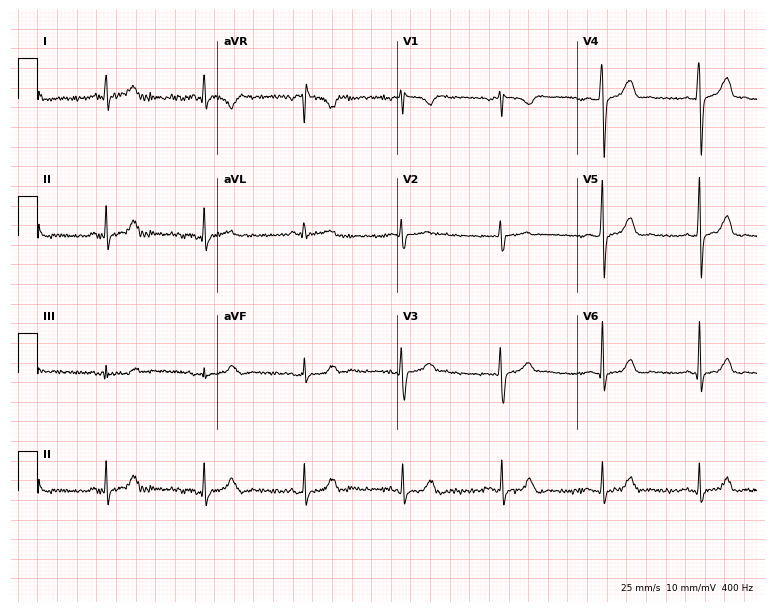
12-lead ECG from a 25-year-old female (7.3-second recording at 400 Hz). No first-degree AV block, right bundle branch block (RBBB), left bundle branch block (LBBB), sinus bradycardia, atrial fibrillation (AF) or sinus tachycardia recorded for this tracing.